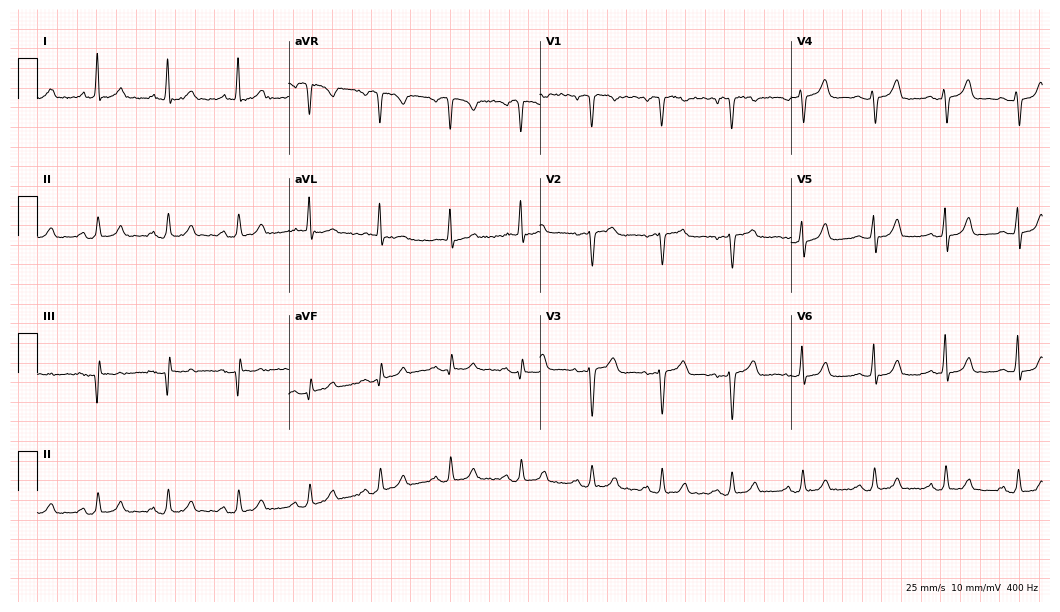
Standard 12-lead ECG recorded from a female, 62 years old (10.2-second recording at 400 Hz). None of these six findings is recorded: first-degree AV block, right bundle branch block, left bundle branch block, sinus bradycardia, atrial fibrillation, sinus tachycardia.